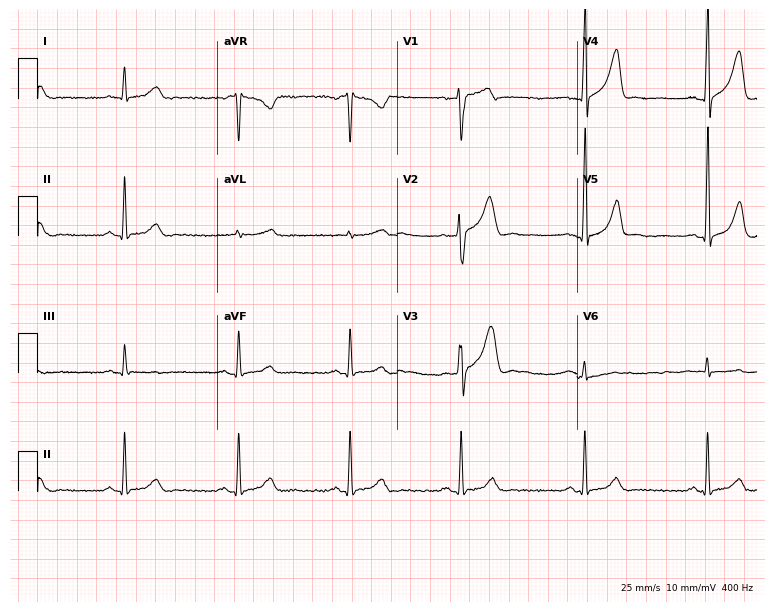
Electrocardiogram (7.3-second recording at 400 Hz), a 37-year-old man. Interpretation includes sinus bradycardia (a sinus rate of 50 beats per minute or less).